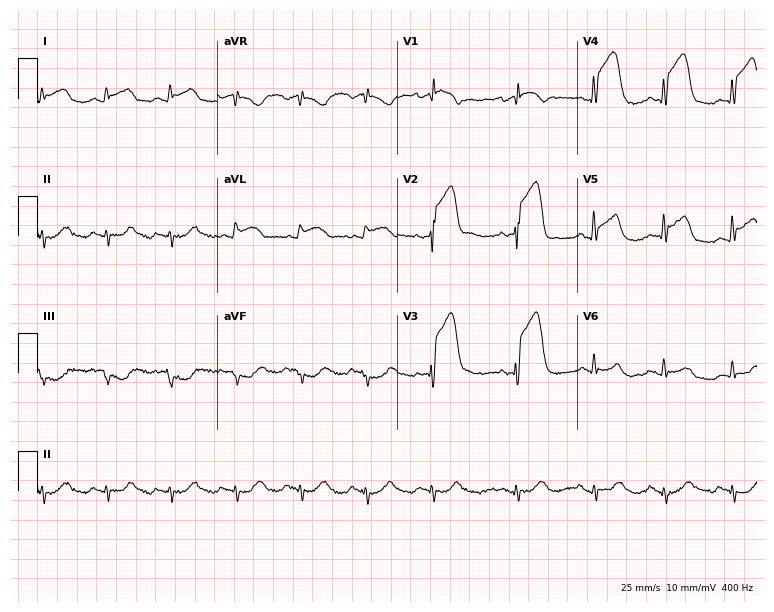
Electrocardiogram, a male patient, 58 years old. Of the six screened findings (first-degree AV block, right bundle branch block, left bundle branch block, sinus bradycardia, atrial fibrillation, sinus tachycardia), none is recorded. Findings outside these six are not listed.